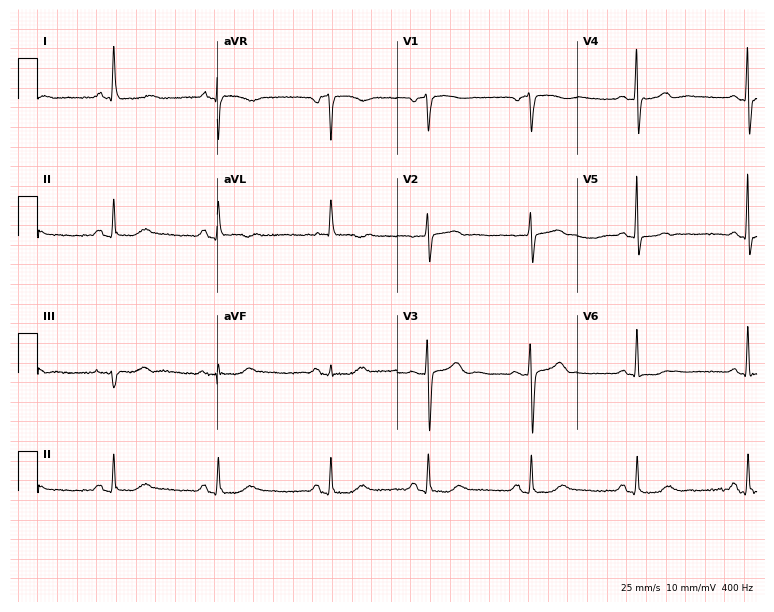
Electrocardiogram (7.3-second recording at 400 Hz), a woman, 71 years old. Of the six screened findings (first-degree AV block, right bundle branch block (RBBB), left bundle branch block (LBBB), sinus bradycardia, atrial fibrillation (AF), sinus tachycardia), none is recorded.